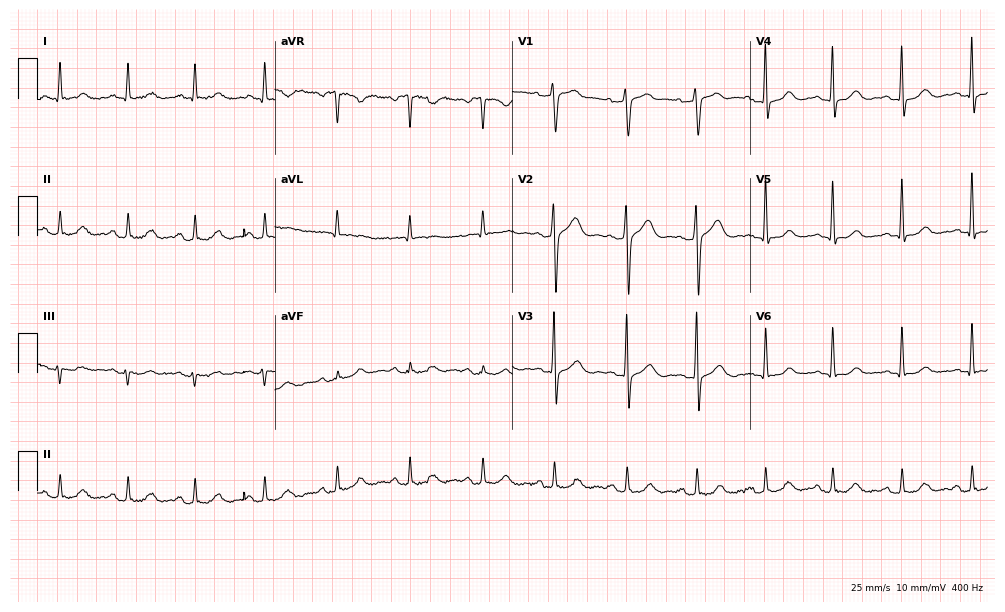
Resting 12-lead electrocardiogram (9.7-second recording at 400 Hz). Patient: a 71-year-old male. Read as a normal ECG.